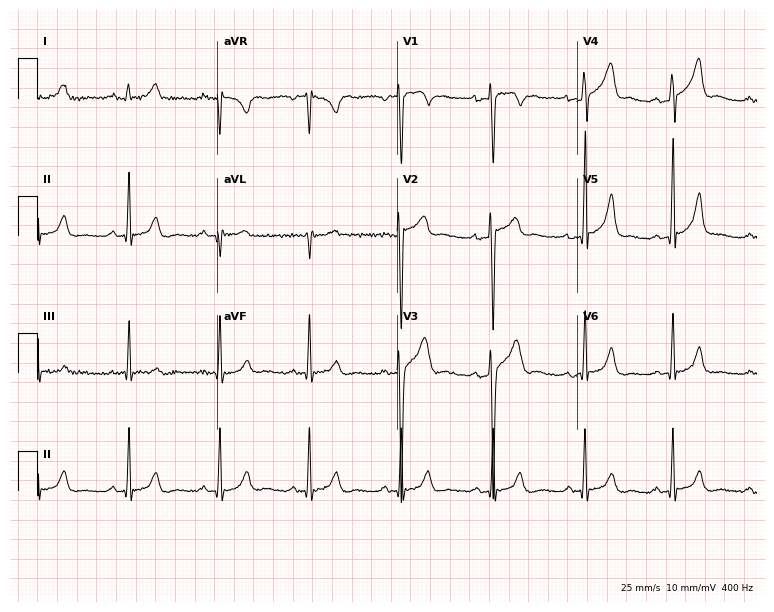
Standard 12-lead ECG recorded from a 26-year-old male patient (7.3-second recording at 400 Hz). None of these six findings is recorded: first-degree AV block, right bundle branch block (RBBB), left bundle branch block (LBBB), sinus bradycardia, atrial fibrillation (AF), sinus tachycardia.